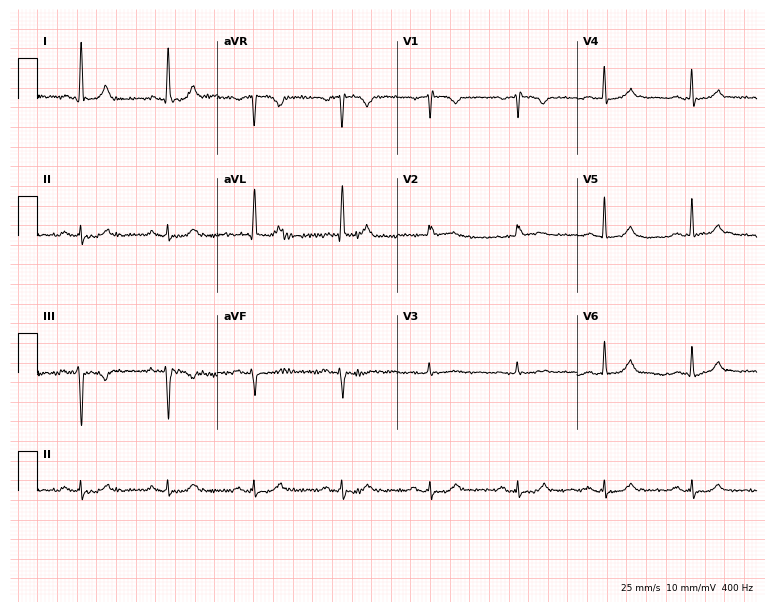
Standard 12-lead ECG recorded from a 68-year-old woman. Read as a normal ECG.